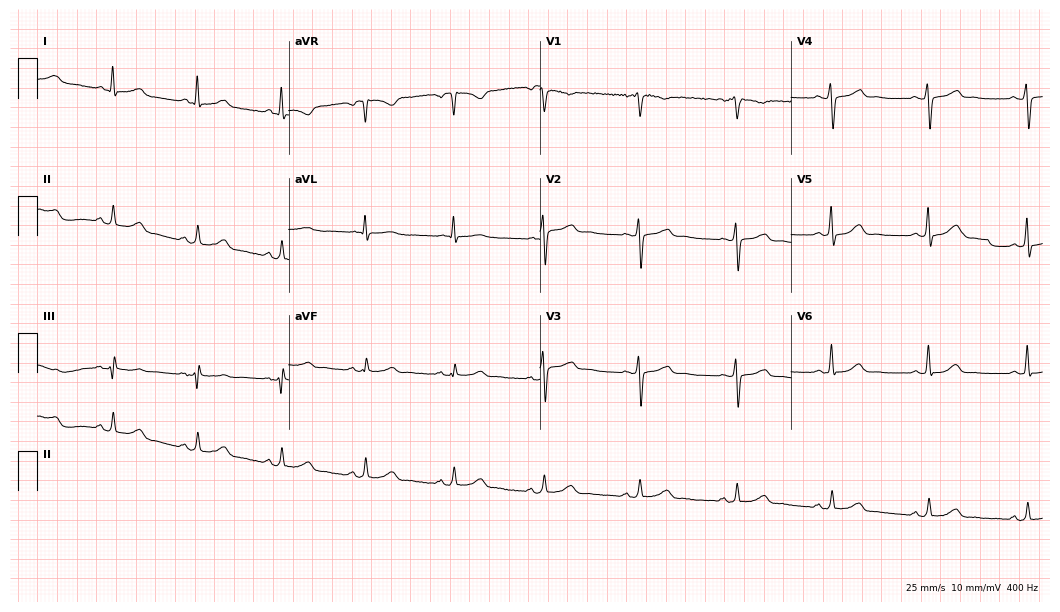
ECG (10.2-second recording at 400 Hz) — a woman, 61 years old. Labelled as a normal ECG.